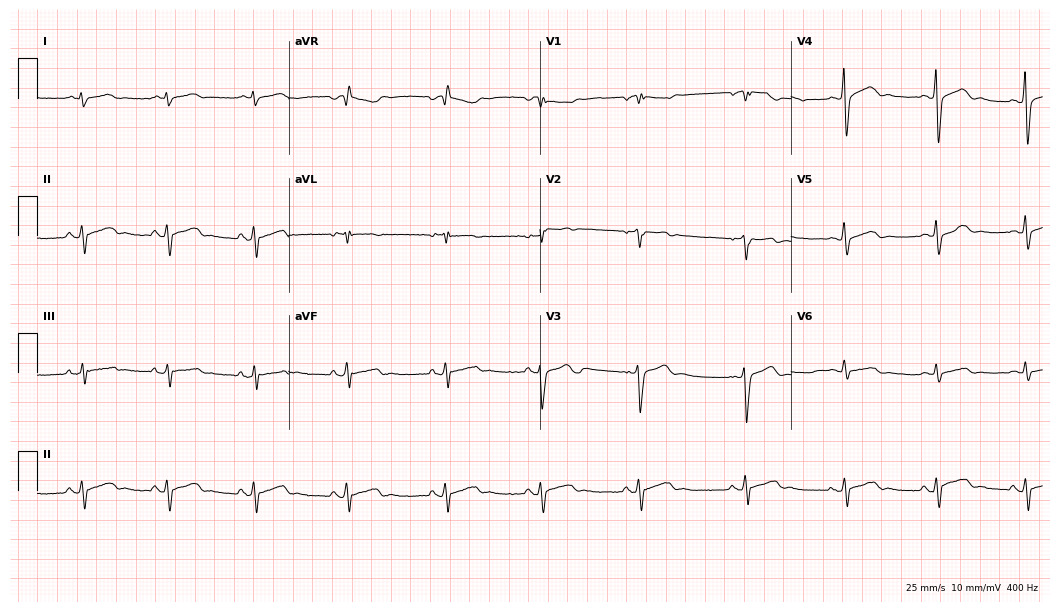
Standard 12-lead ECG recorded from a male patient, 34 years old. None of these six findings is recorded: first-degree AV block, right bundle branch block, left bundle branch block, sinus bradycardia, atrial fibrillation, sinus tachycardia. Findings outside these six are not listed.